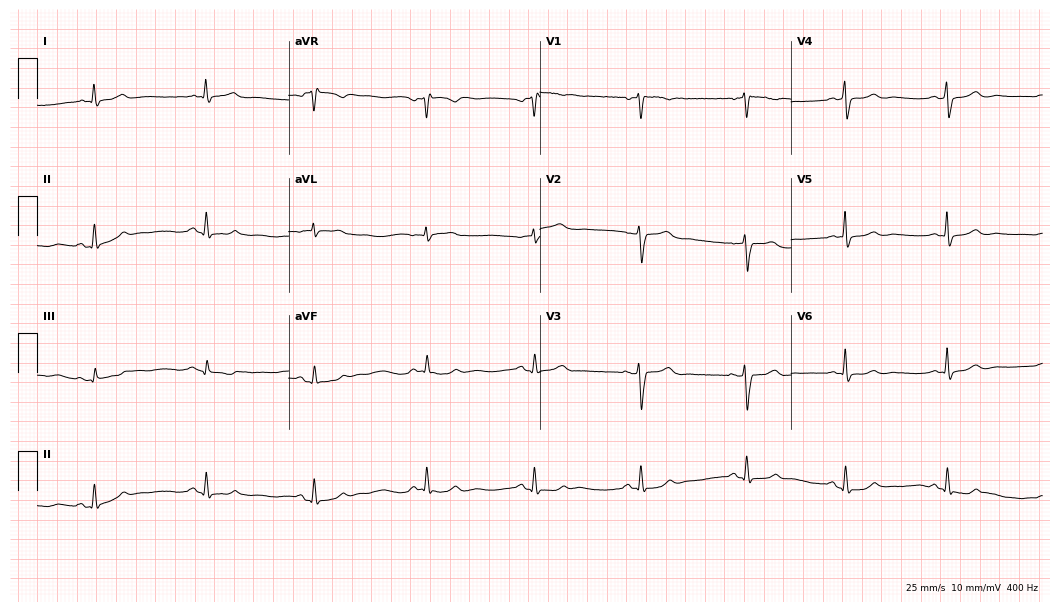
Resting 12-lead electrocardiogram (10.2-second recording at 400 Hz). Patient: a female, 39 years old. None of these six findings is recorded: first-degree AV block, right bundle branch block, left bundle branch block, sinus bradycardia, atrial fibrillation, sinus tachycardia.